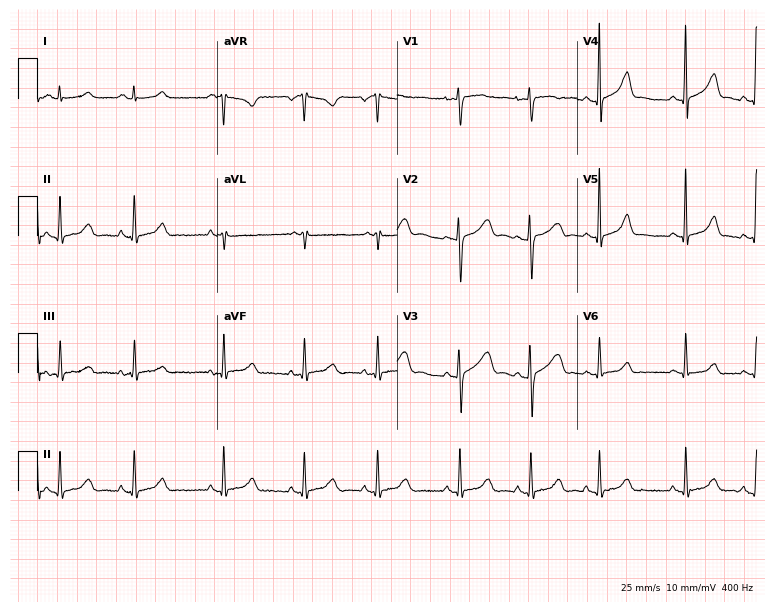
ECG — an 18-year-old woman. Labelled as a normal ECG.